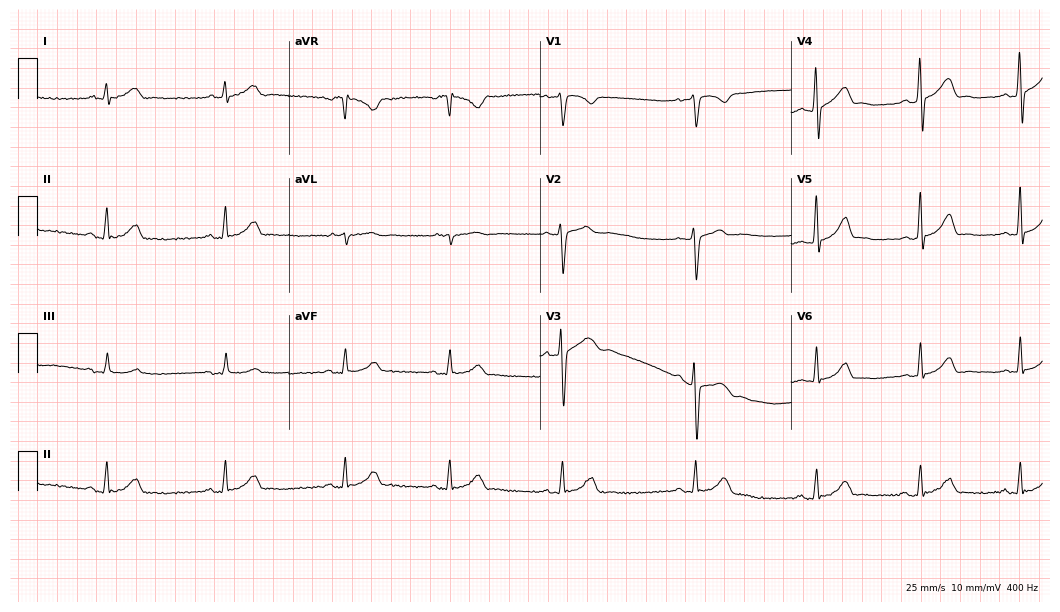
Resting 12-lead electrocardiogram. Patient: a 25-year-old man. The tracing shows sinus bradycardia (a sinus rate of 50 beats per minute or less).